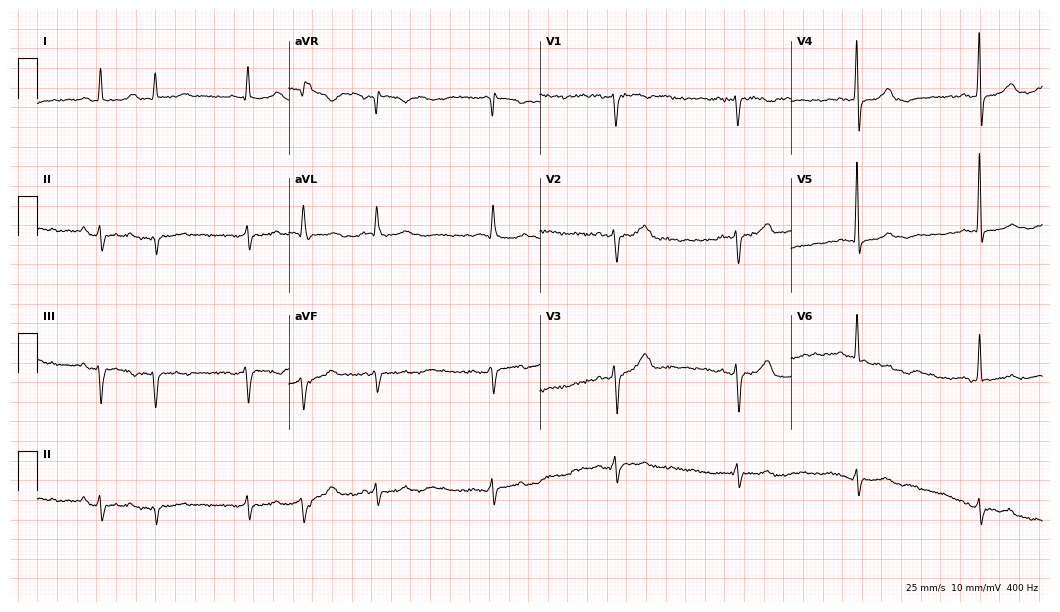
12-lead ECG from a male patient, 84 years old. Screened for six findings — first-degree AV block, right bundle branch block, left bundle branch block, sinus bradycardia, atrial fibrillation, sinus tachycardia — none is recorded. Only these six findings were labelled.